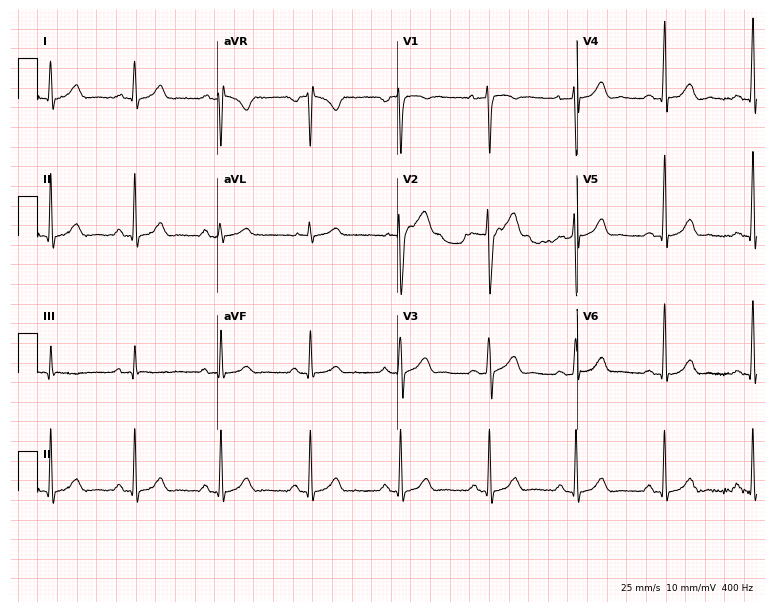
12-lead ECG from a 26-year-old man. Labelled as a normal ECG.